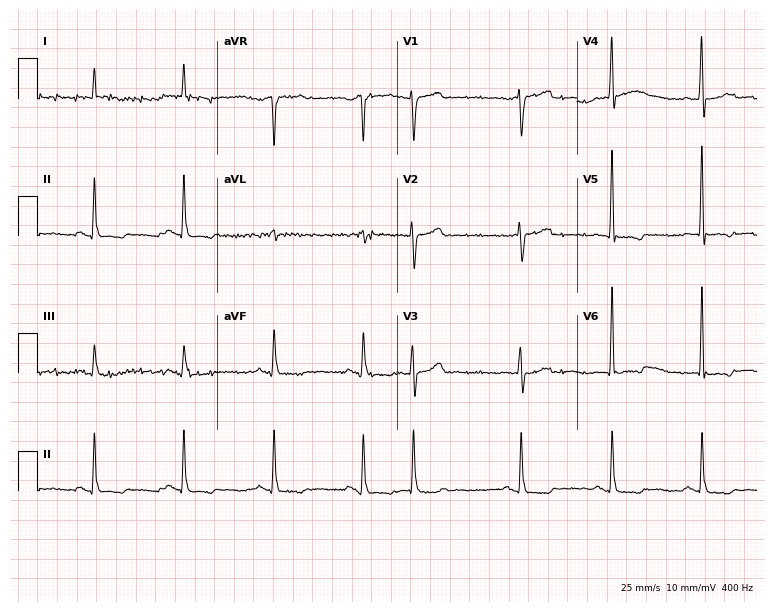
Standard 12-lead ECG recorded from a male, 81 years old. None of these six findings is recorded: first-degree AV block, right bundle branch block (RBBB), left bundle branch block (LBBB), sinus bradycardia, atrial fibrillation (AF), sinus tachycardia.